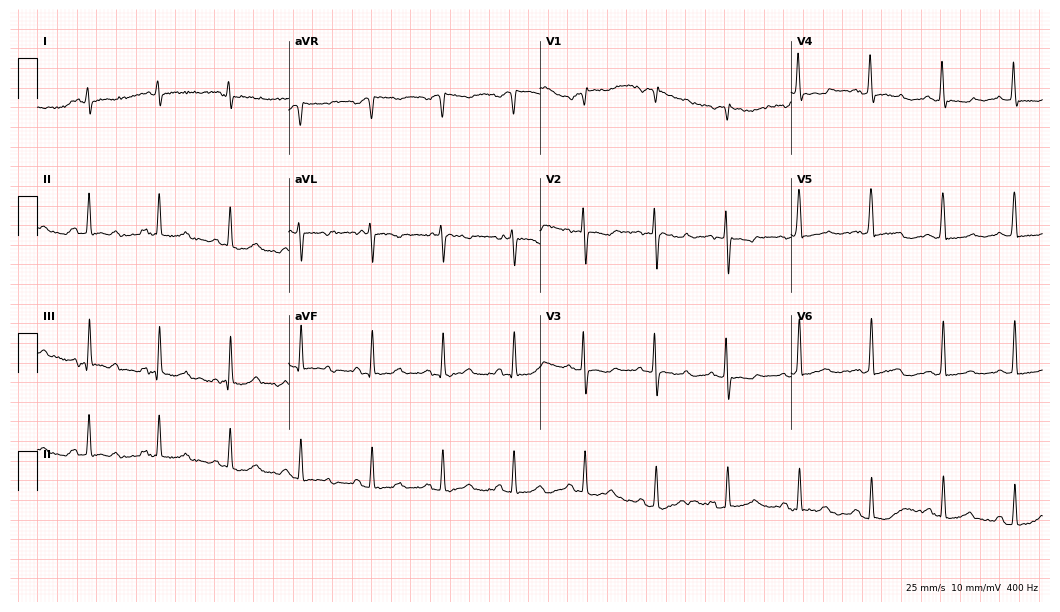
Electrocardiogram, a 51-year-old female. Of the six screened findings (first-degree AV block, right bundle branch block (RBBB), left bundle branch block (LBBB), sinus bradycardia, atrial fibrillation (AF), sinus tachycardia), none is recorded.